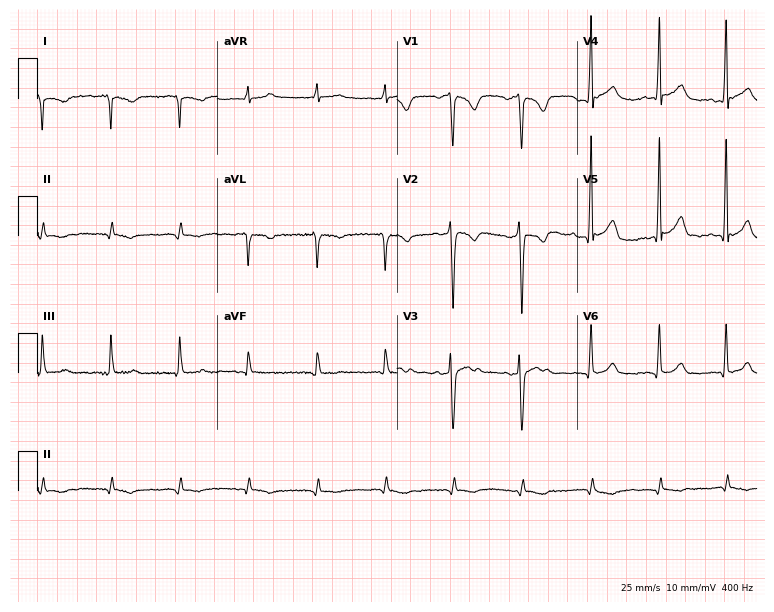
12-lead ECG from a 36-year-old male. No first-degree AV block, right bundle branch block (RBBB), left bundle branch block (LBBB), sinus bradycardia, atrial fibrillation (AF) or sinus tachycardia recorded for this tracing.